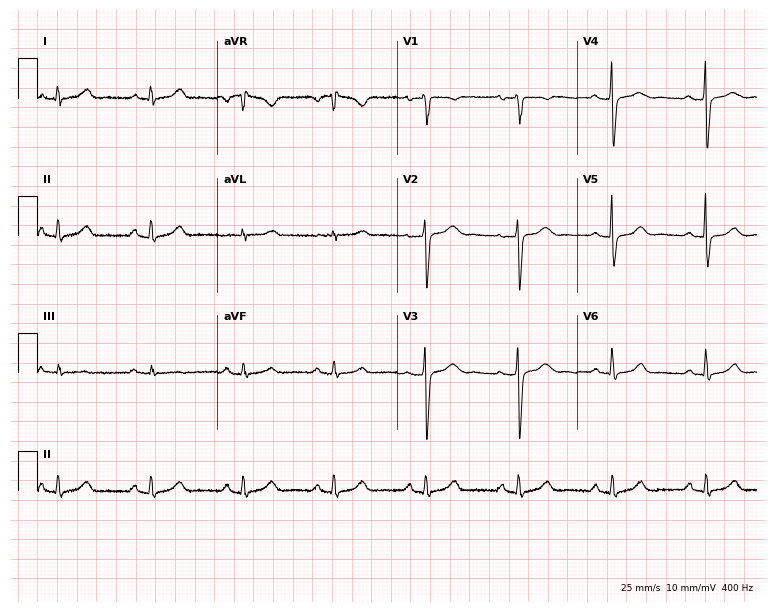
Resting 12-lead electrocardiogram. Patient: a female, 54 years old. None of these six findings is recorded: first-degree AV block, right bundle branch block, left bundle branch block, sinus bradycardia, atrial fibrillation, sinus tachycardia. Only these six findings were labelled.